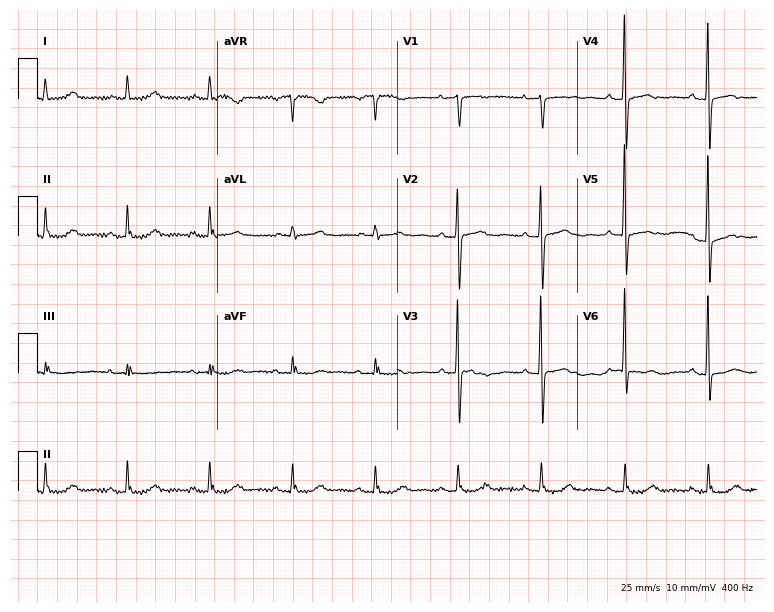
Electrocardiogram, a female patient, 60 years old. Overall reading on record: normal ECG.